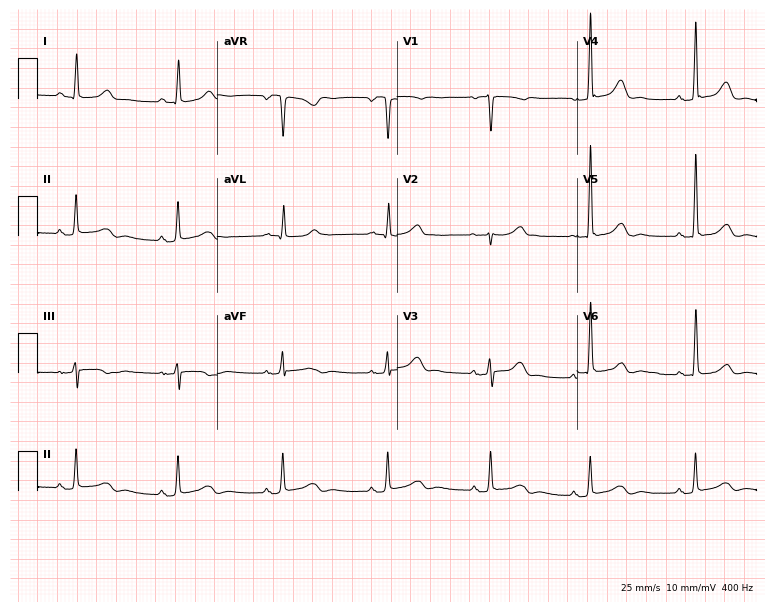
ECG (7.3-second recording at 400 Hz) — a woman, 59 years old. Screened for six findings — first-degree AV block, right bundle branch block, left bundle branch block, sinus bradycardia, atrial fibrillation, sinus tachycardia — none is recorded. Other findings, if any, are not listed.